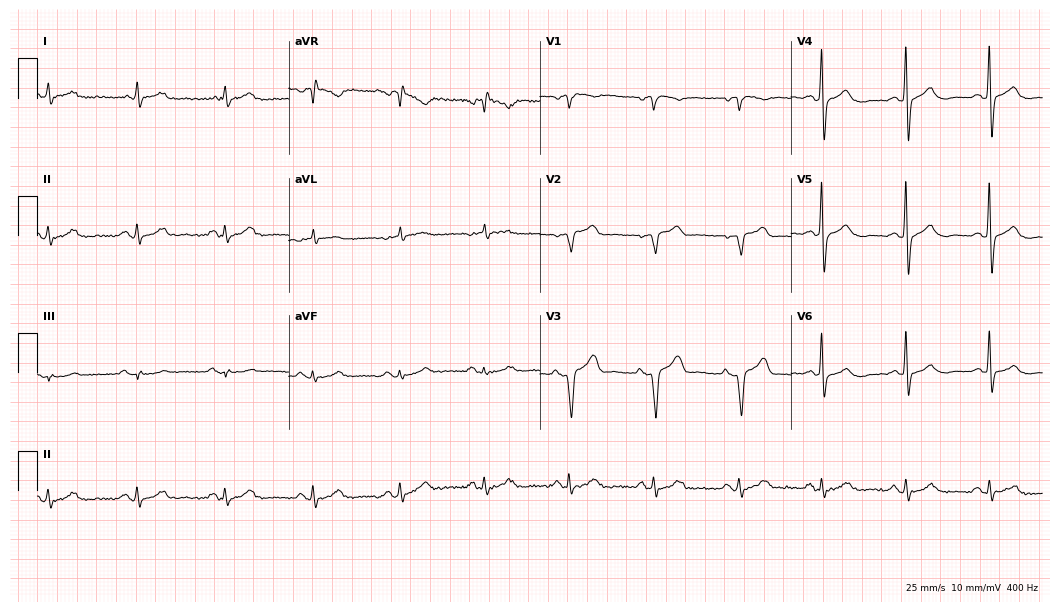
Electrocardiogram, an 81-year-old male. Of the six screened findings (first-degree AV block, right bundle branch block (RBBB), left bundle branch block (LBBB), sinus bradycardia, atrial fibrillation (AF), sinus tachycardia), none is recorded. Other findings, if any, are not listed.